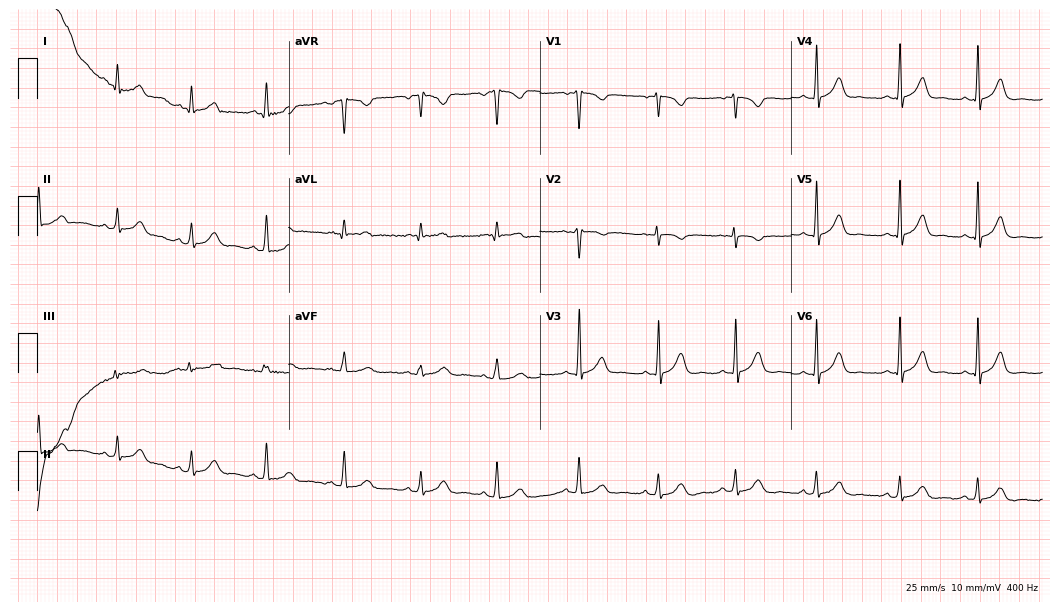
ECG — a female, 20 years old. Labelled as a normal ECG.